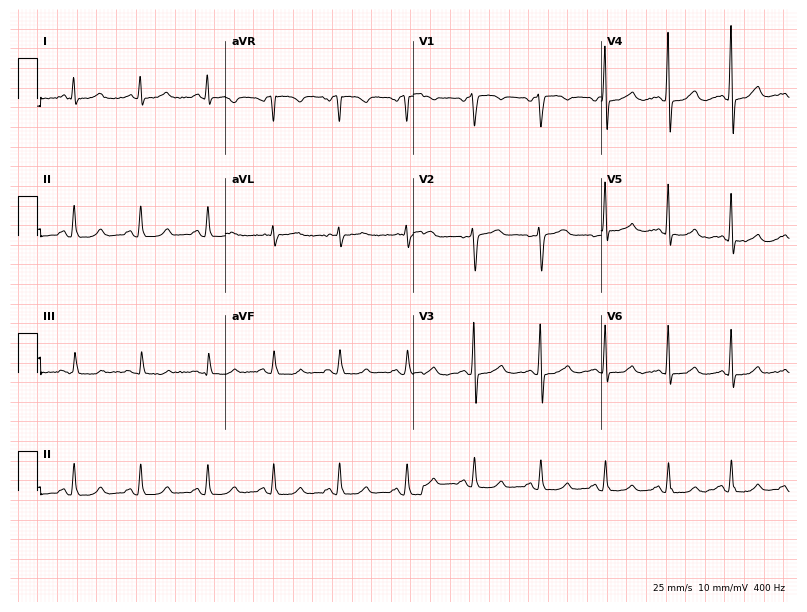
Electrocardiogram, a 35-year-old female. Overall reading on record: normal ECG.